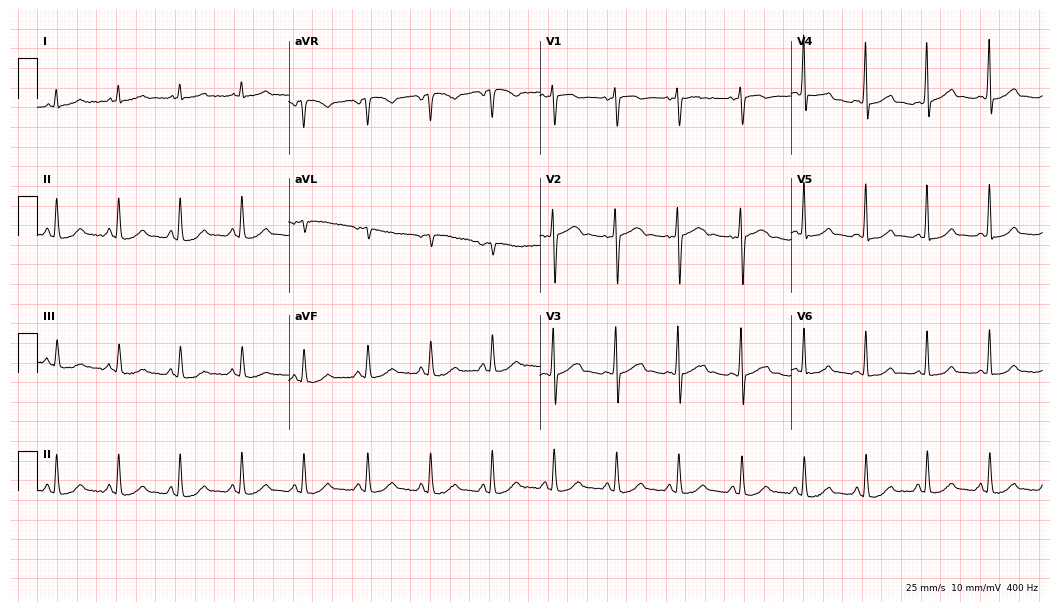
12-lead ECG (10.2-second recording at 400 Hz) from a woman, 52 years old. Labelled as a normal ECG.